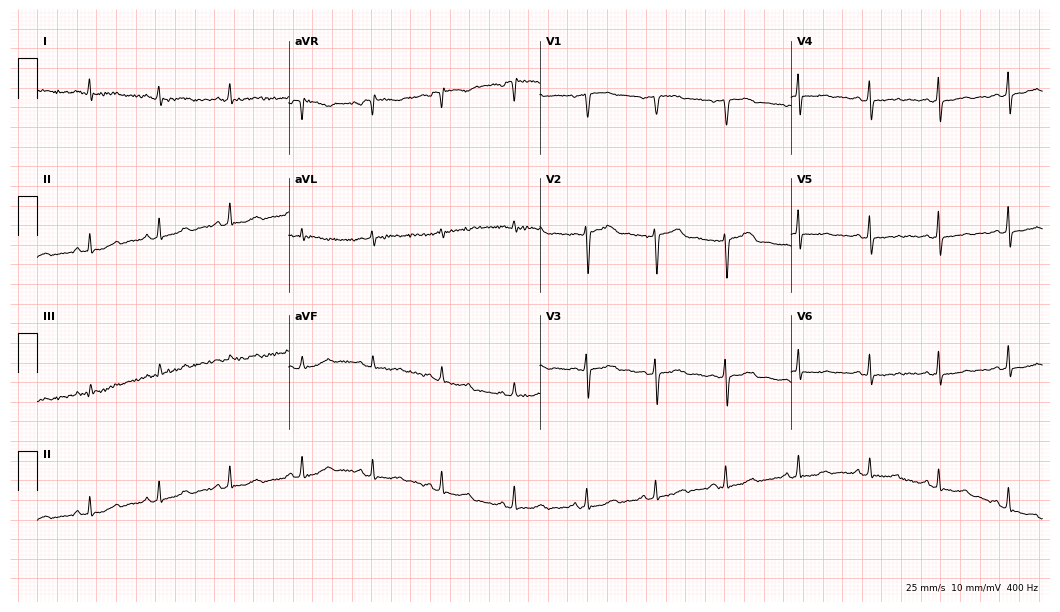
12-lead ECG from a 57-year-old female. Screened for six findings — first-degree AV block, right bundle branch block, left bundle branch block, sinus bradycardia, atrial fibrillation, sinus tachycardia — none is recorded. Findings outside these six are not listed.